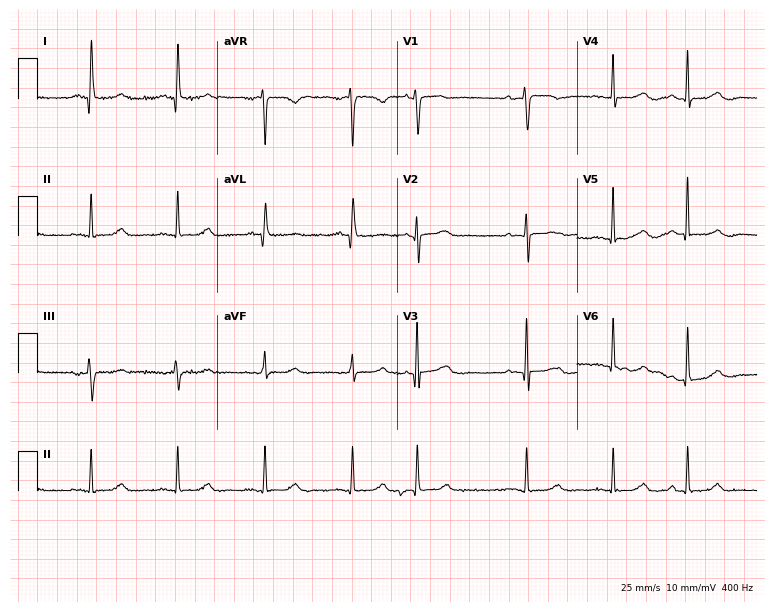
12-lead ECG from an 85-year-old female. Screened for six findings — first-degree AV block, right bundle branch block (RBBB), left bundle branch block (LBBB), sinus bradycardia, atrial fibrillation (AF), sinus tachycardia — none is recorded.